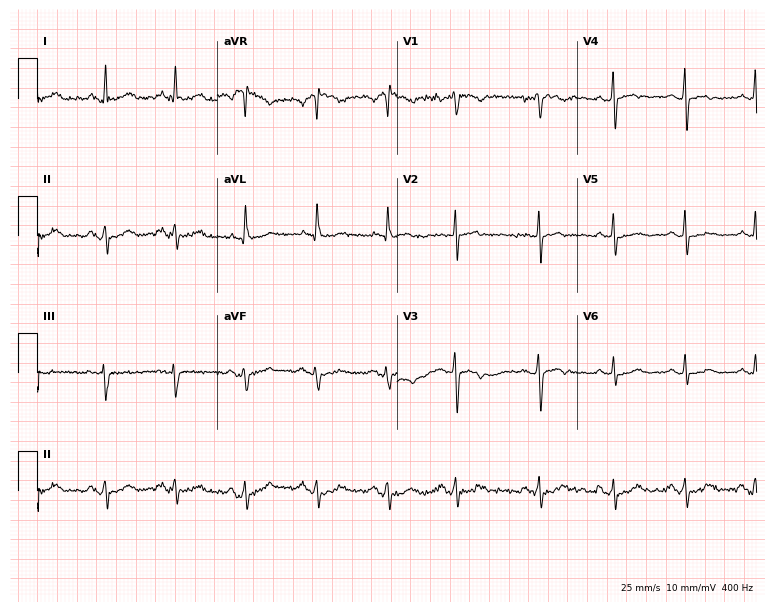
ECG — a 56-year-old female patient. Screened for six findings — first-degree AV block, right bundle branch block, left bundle branch block, sinus bradycardia, atrial fibrillation, sinus tachycardia — none is recorded. Only these six findings were labelled.